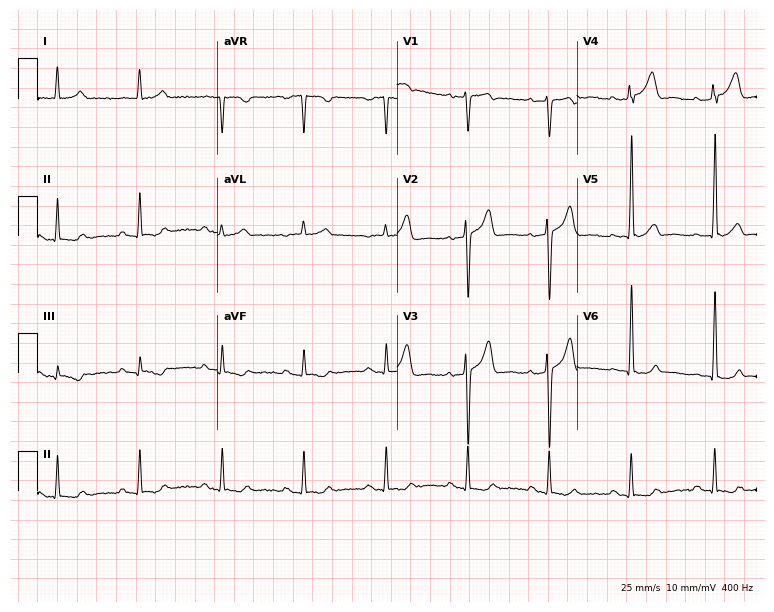
Resting 12-lead electrocardiogram. Patient: a male, 52 years old. None of these six findings is recorded: first-degree AV block, right bundle branch block, left bundle branch block, sinus bradycardia, atrial fibrillation, sinus tachycardia. Findings outside these six are not listed.